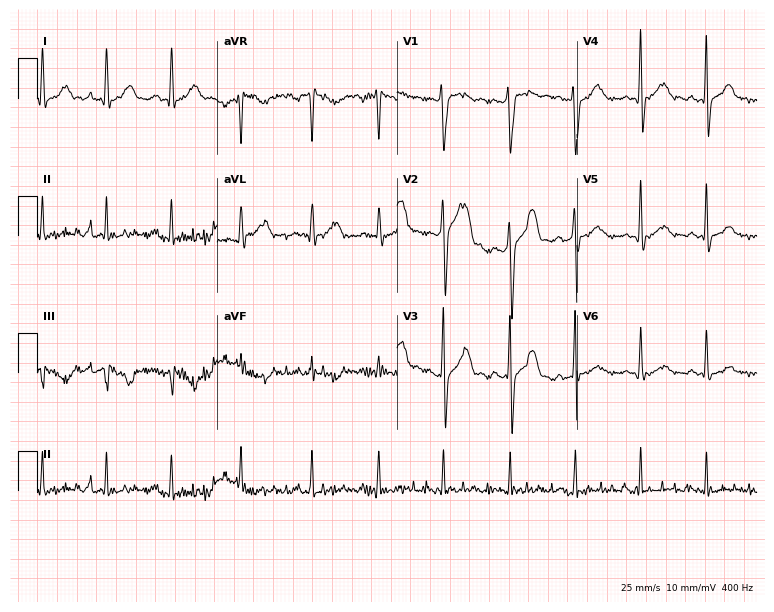
12-lead ECG (7.3-second recording at 400 Hz) from a male, 34 years old. Screened for six findings — first-degree AV block, right bundle branch block (RBBB), left bundle branch block (LBBB), sinus bradycardia, atrial fibrillation (AF), sinus tachycardia — none is recorded. Only these six findings were labelled.